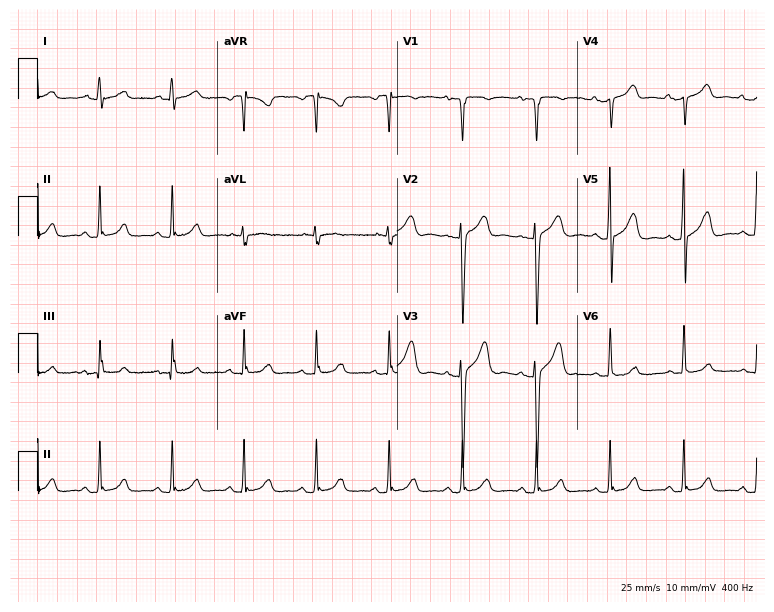
Resting 12-lead electrocardiogram (7.3-second recording at 400 Hz). Patient: a 34-year-old male. Read as a normal ECG.